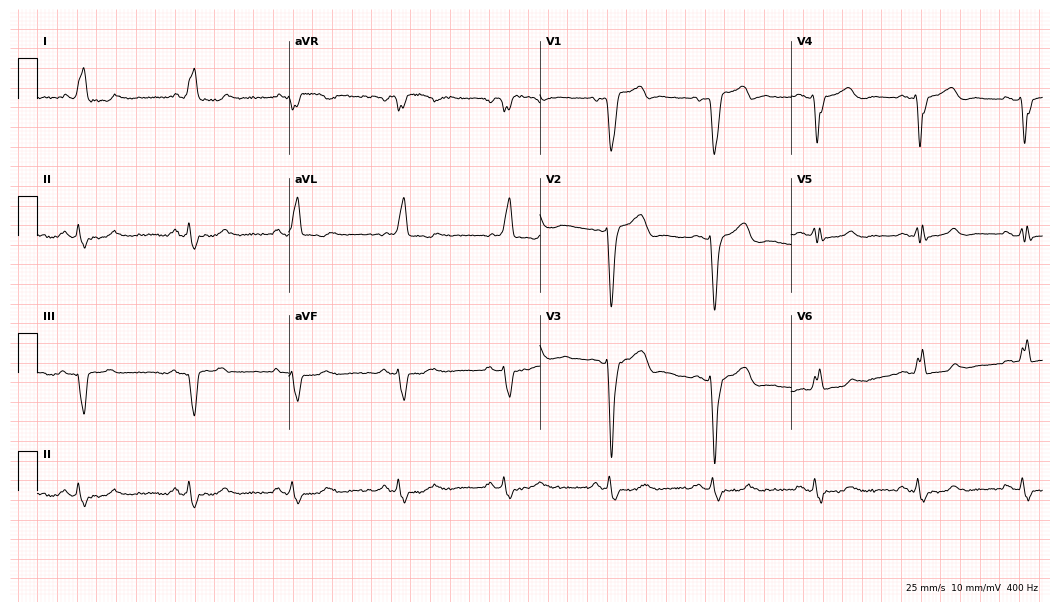
Electrocardiogram (10.2-second recording at 400 Hz), a male patient, 61 years old. Interpretation includes left bundle branch block.